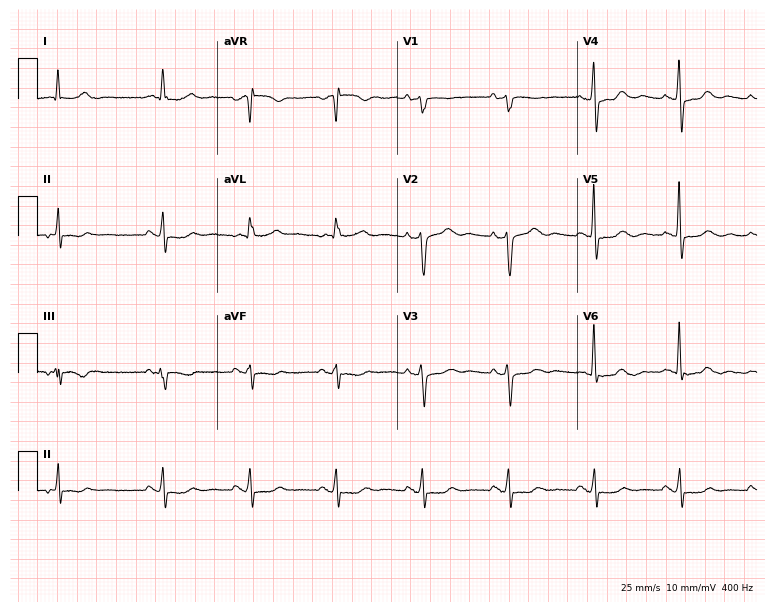
Standard 12-lead ECG recorded from a woman, 81 years old (7.3-second recording at 400 Hz). None of these six findings is recorded: first-degree AV block, right bundle branch block, left bundle branch block, sinus bradycardia, atrial fibrillation, sinus tachycardia. Findings outside these six are not listed.